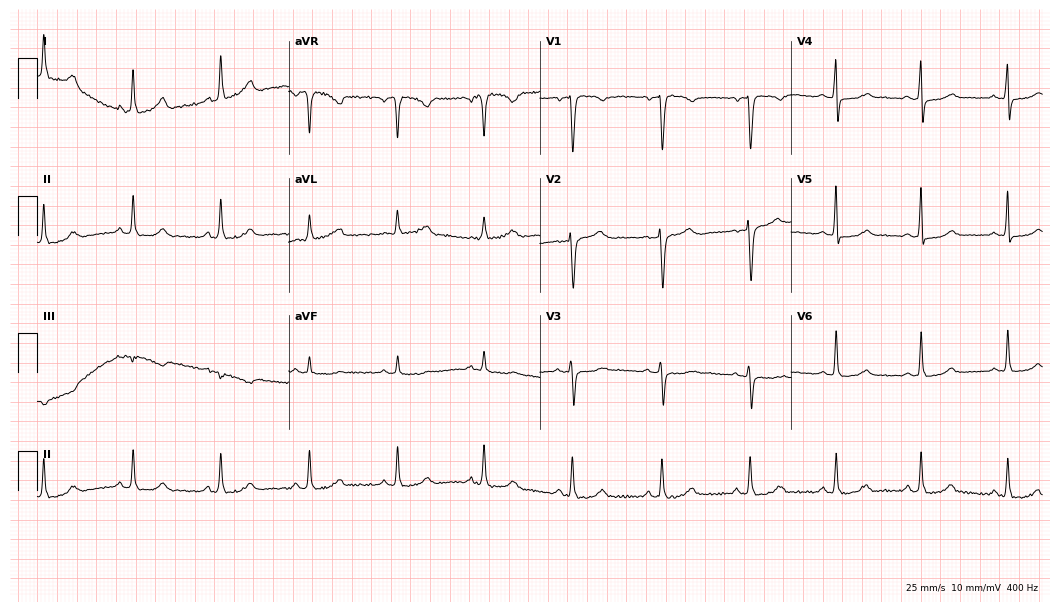
12-lead ECG from a 46-year-old female patient. Recorded interpretation: within normal limits.